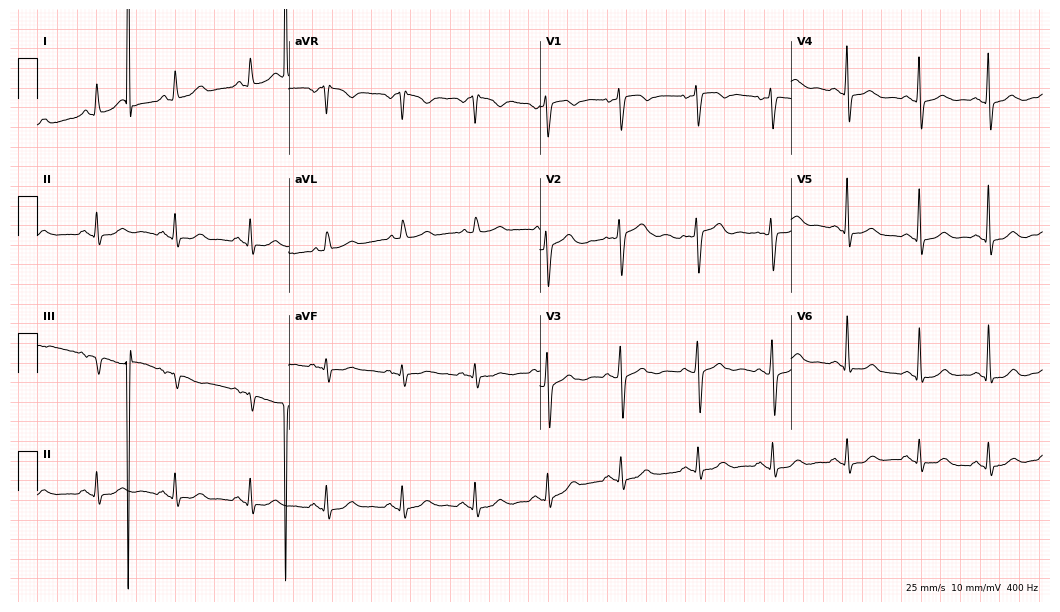
ECG (10.2-second recording at 400 Hz) — a 42-year-old woman. Screened for six findings — first-degree AV block, right bundle branch block, left bundle branch block, sinus bradycardia, atrial fibrillation, sinus tachycardia — none is recorded.